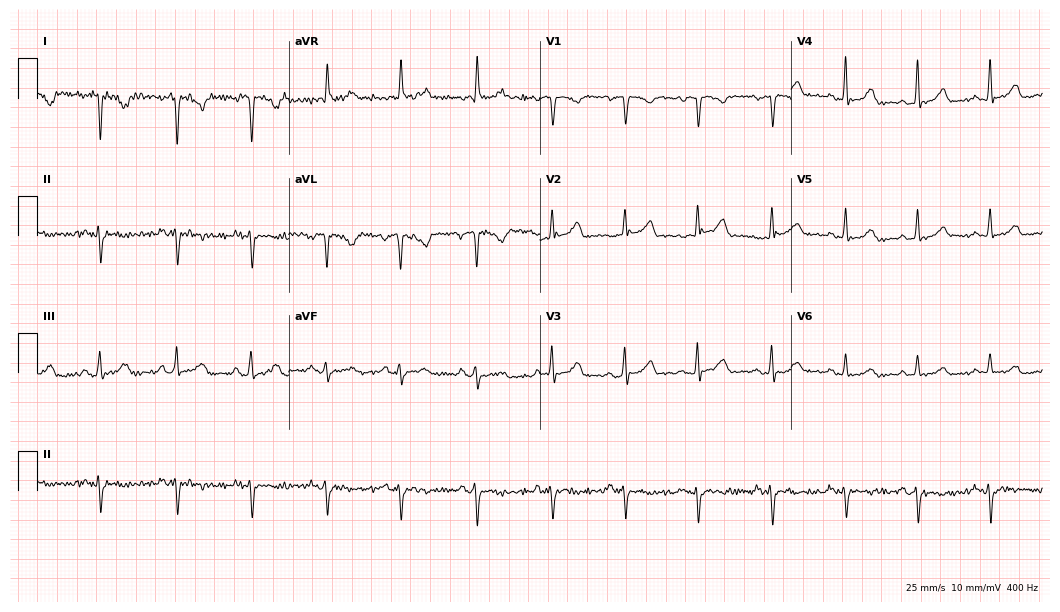
Standard 12-lead ECG recorded from a 43-year-old female patient. None of these six findings is recorded: first-degree AV block, right bundle branch block, left bundle branch block, sinus bradycardia, atrial fibrillation, sinus tachycardia. Other findings, if any, are not listed.